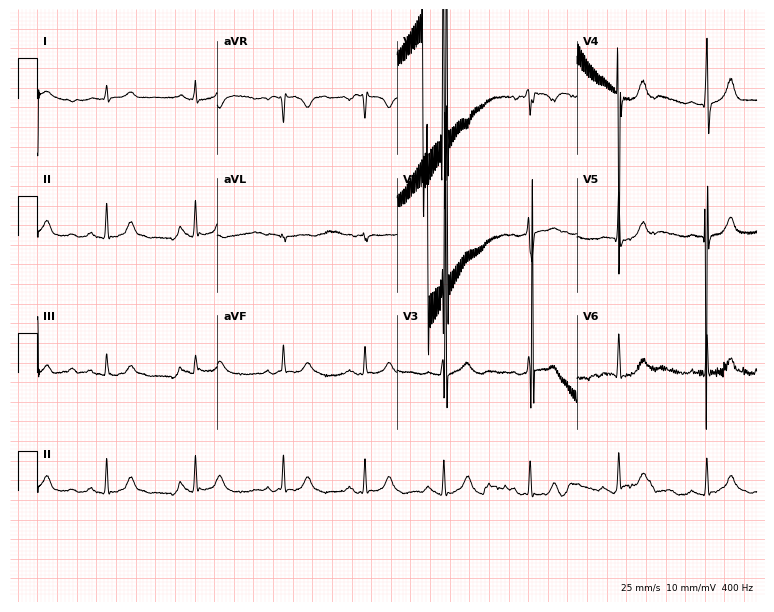
12-lead ECG from a 21-year-old woman (7.3-second recording at 400 Hz). No first-degree AV block, right bundle branch block, left bundle branch block, sinus bradycardia, atrial fibrillation or sinus tachycardia recorded for this tracing.